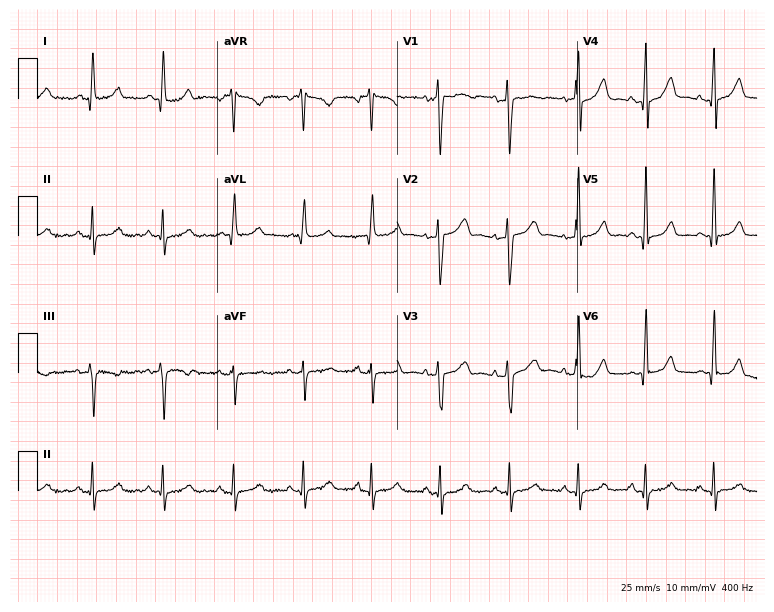
ECG (7.3-second recording at 400 Hz) — a female, 51 years old. Labelled as a normal ECG.